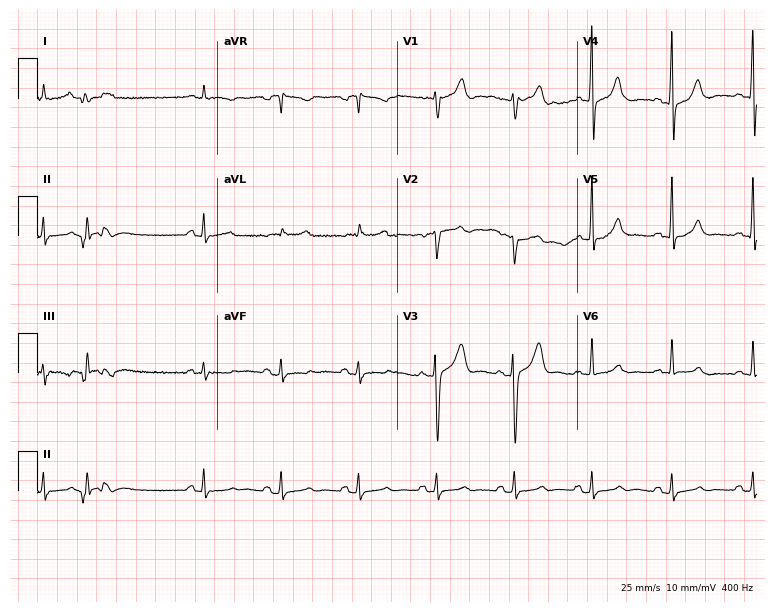
Electrocardiogram (7.3-second recording at 400 Hz), a man, 66 years old. Of the six screened findings (first-degree AV block, right bundle branch block (RBBB), left bundle branch block (LBBB), sinus bradycardia, atrial fibrillation (AF), sinus tachycardia), none is recorded.